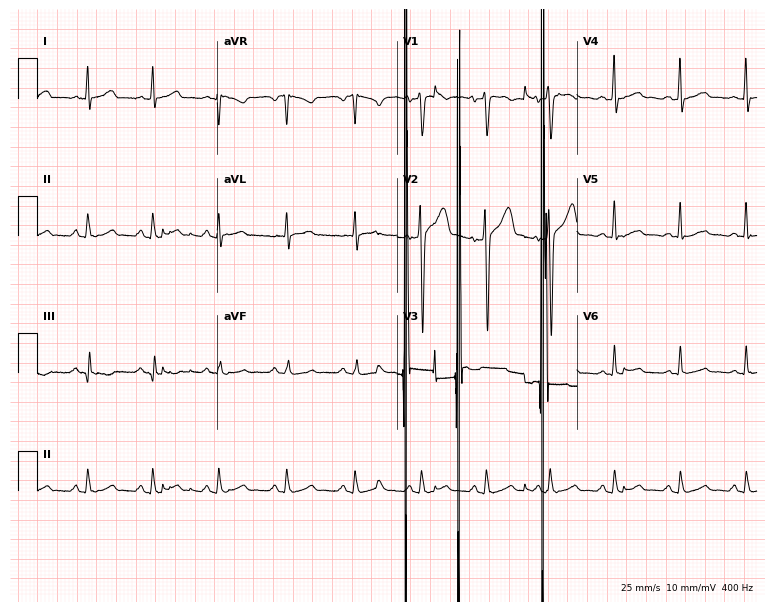
Electrocardiogram, a man, 35 years old. Of the six screened findings (first-degree AV block, right bundle branch block (RBBB), left bundle branch block (LBBB), sinus bradycardia, atrial fibrillation (AF), sinus tachycardia), none is recorded.